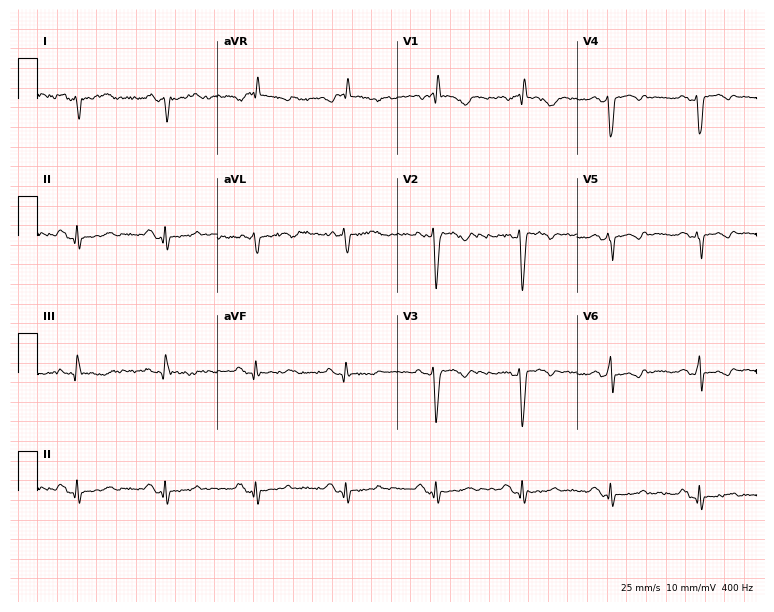
Electrocardiogram (7.3-second recording at 400 Hz), a 46-year-old female. Of the six screened findings (first-degree AV block, right bundle branch block, left bundle branch block, sinus bradycardia, atrial fibrillation, sinus tachycardia), none is recorded. Other findings, if any, are not listed.